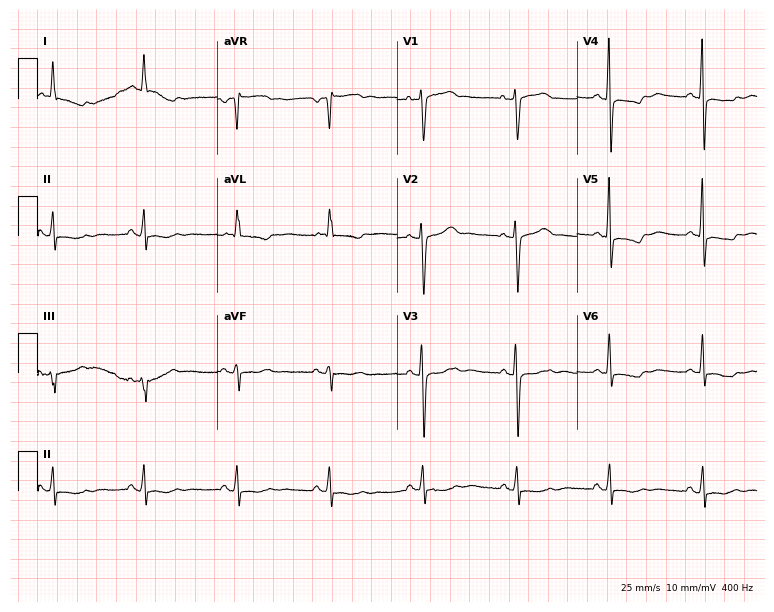
Resting 12-lead electrocardiogram (7.3-second recording at 400 Hz). Patient: a 65-year-old woman. None of these six findings is recorded: first-degree AV block, right bundle branch block (RBBB), left bundle branch block (LBBB), sinus bradycardia, atrial fibrillation (AF), sinus tachycardia. Other findings, if any, are not listed.